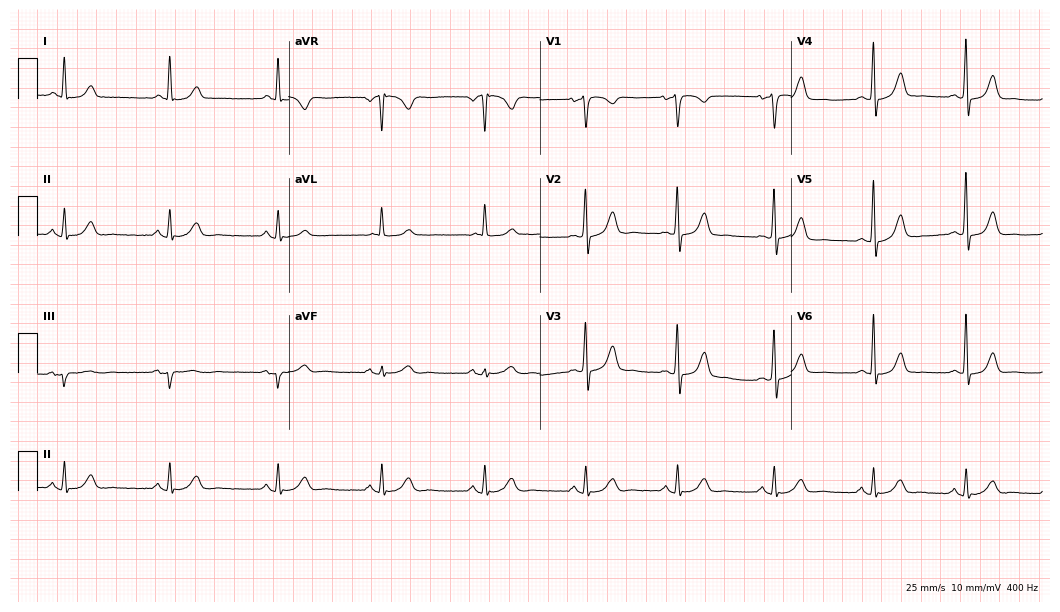
Standard 12-lead ECG recorded from a woman, 52 years old. Read as a normal ECG.